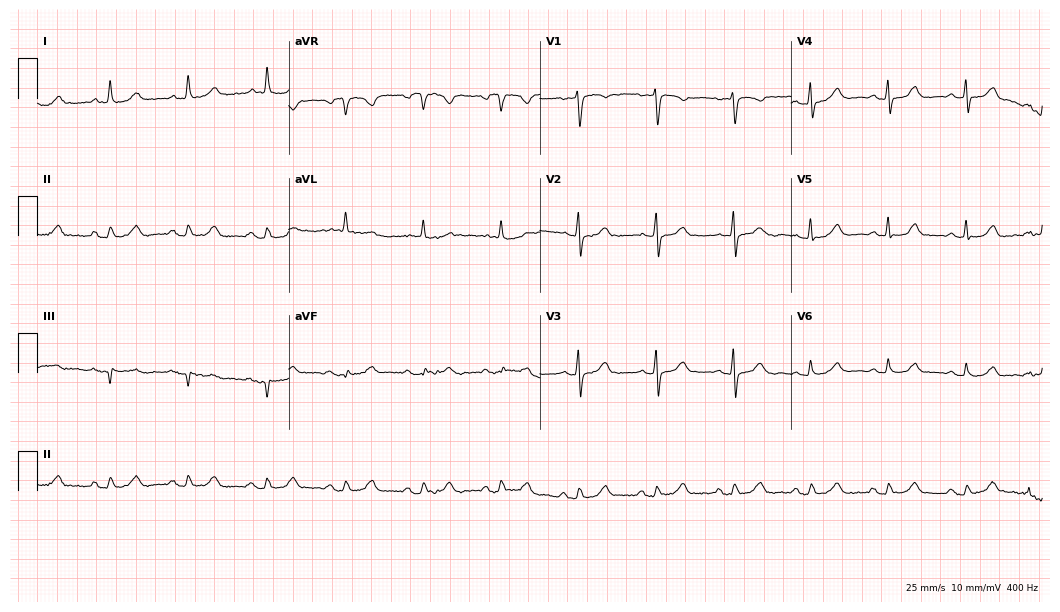
12-lead ECG from an 80-year-old female. Recorded interpretation: within normal limits.